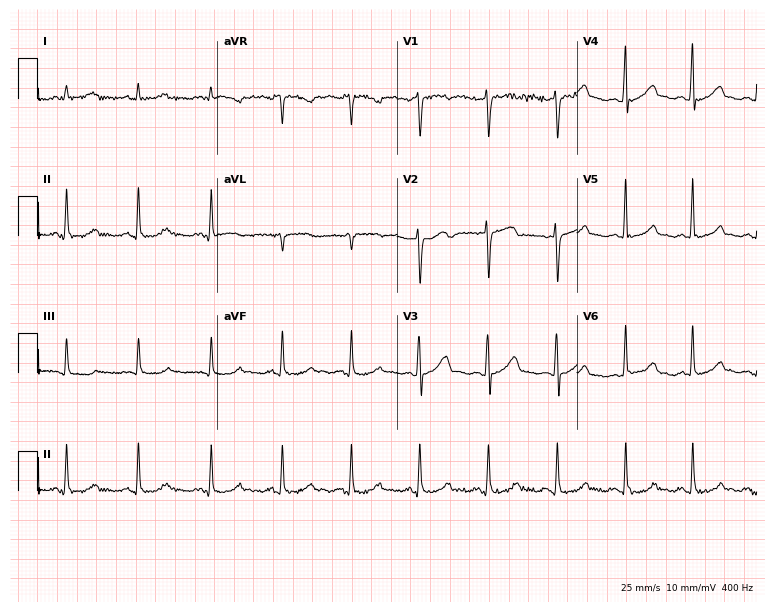
ECG (7.3-second recording at 400 Hz) — a male patient, 50 years old. Labelled as a normal ECG.